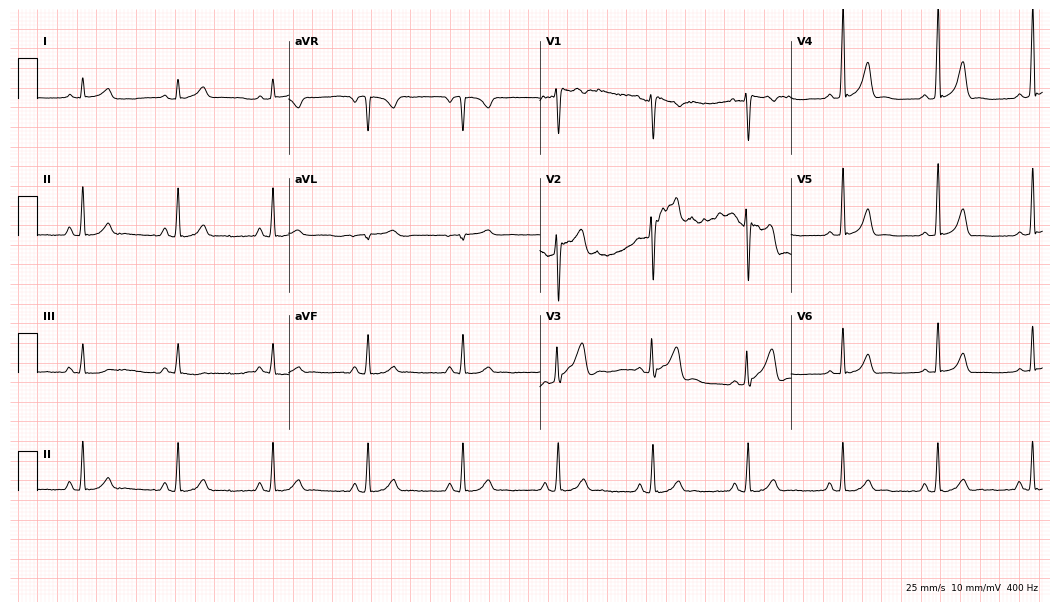
ECG (10.2-second recording at 400 Hz) — a 21-year-old man. Screened for six findings — first-degree AV block, right bundle branch block, left bundle branch block, sinus bradycardia, atrial fibrillation, sinus tachycardia — none is recorded. Only these six findings were labelled.